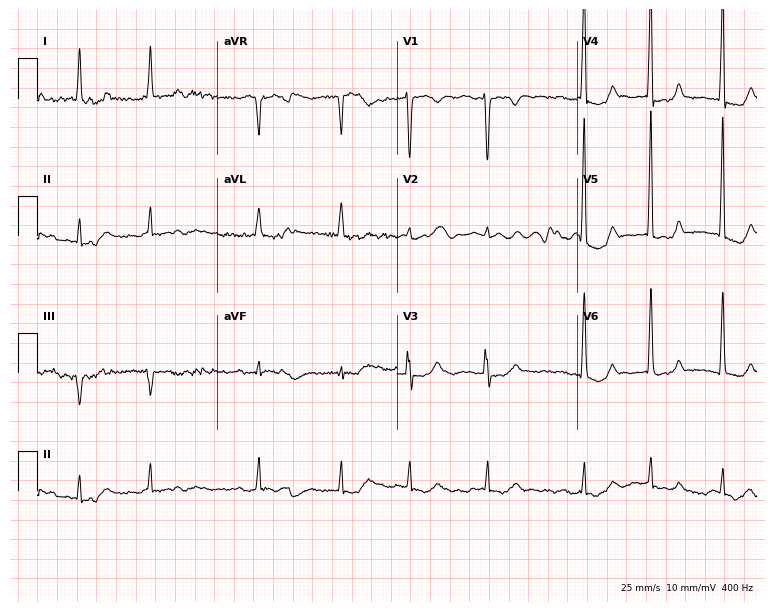
12-lead ECG from a woman, 72 years old (7.3-second recording at 400 Hz). Shows atrial fibrillation.